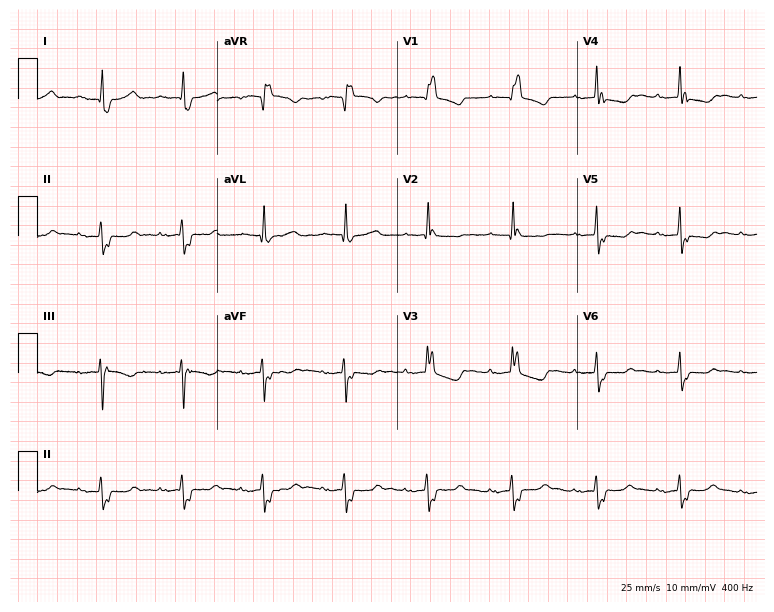
12-lead ECG (7.3-second recording at 400 Hz) from a female, 72 years old. Findings include first-degree AV block, right bundle branch block.